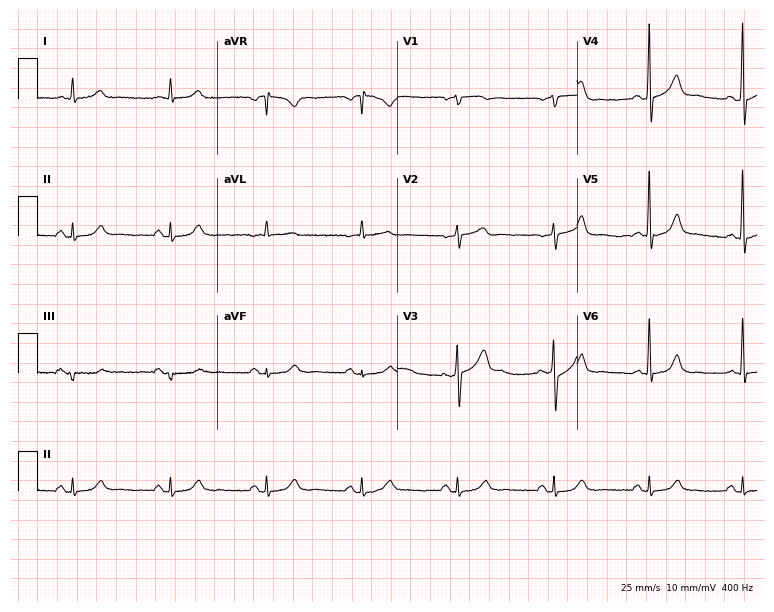
Electrocardiogram, a male, 74 years old. Overall reading on record: normal ECG.